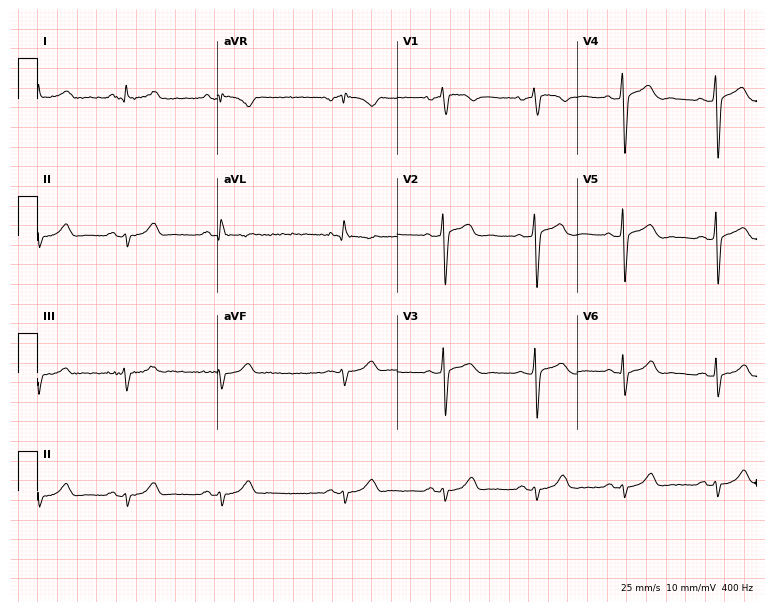
Resting 12-lead electrocardiogram. Patient: a 37-year-old male. None of these six findings is recorded: first-degree AV block, right bundle branch block, left bundle branch block, sinus bradycardia, atrial fibrillation, sinus tachycardia. Findings outside these six are not listed.